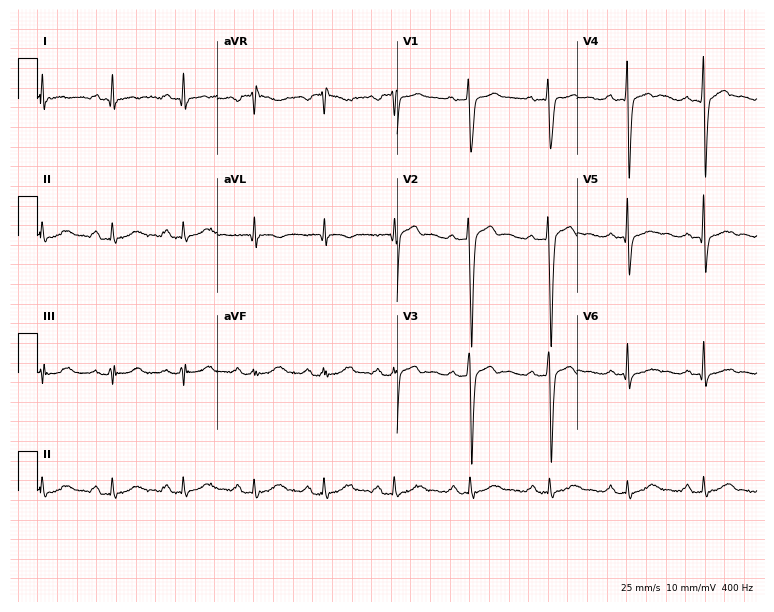
Standard 12-lead ECG recorded from a 46-year-old male. None of these six findings is recorded: first-degree AV block, right bundle branch block, left bundle branch block, sinus bradycardia, atrial fibrillation, sinus tachycardia.